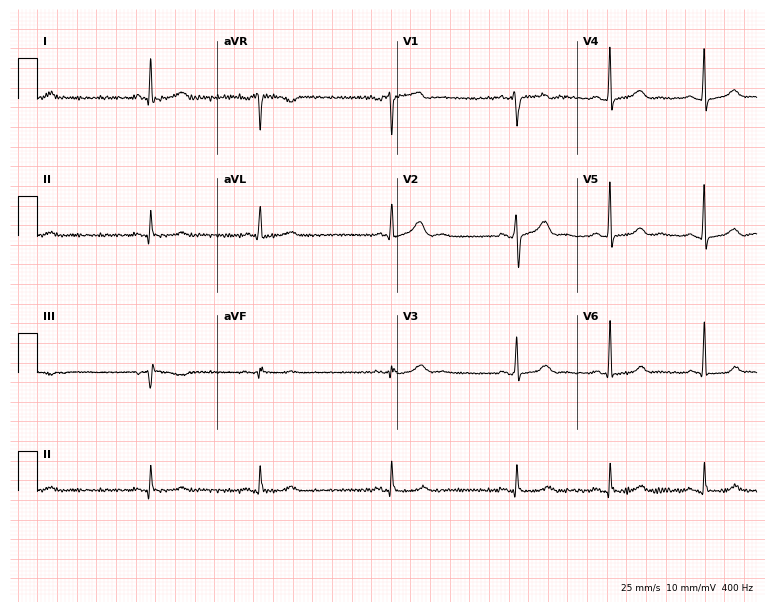
Standard 12-lead ECG recorded from a male, 17 years old. Read as a normal ECG.